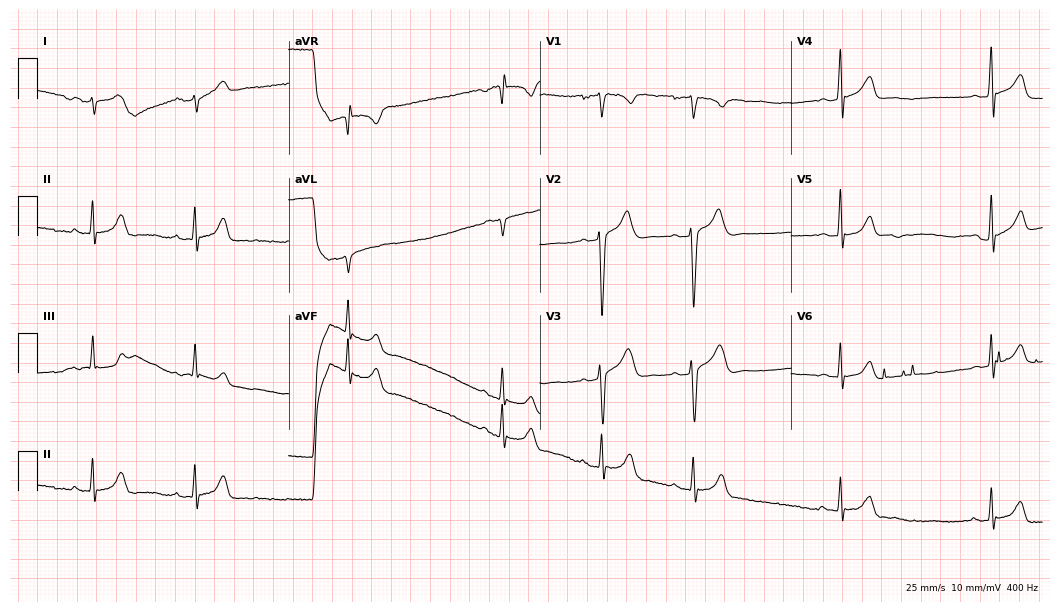
Electrocardiogram (10.2-second recording at 400 Hz), a male patient, 21 years old. Of the six screened findings (first-degree AV block, right bundle branch block, left bundle branch block, sinus bradycardia, atrial fibrillation, sinus tachycardia), none is recorded.